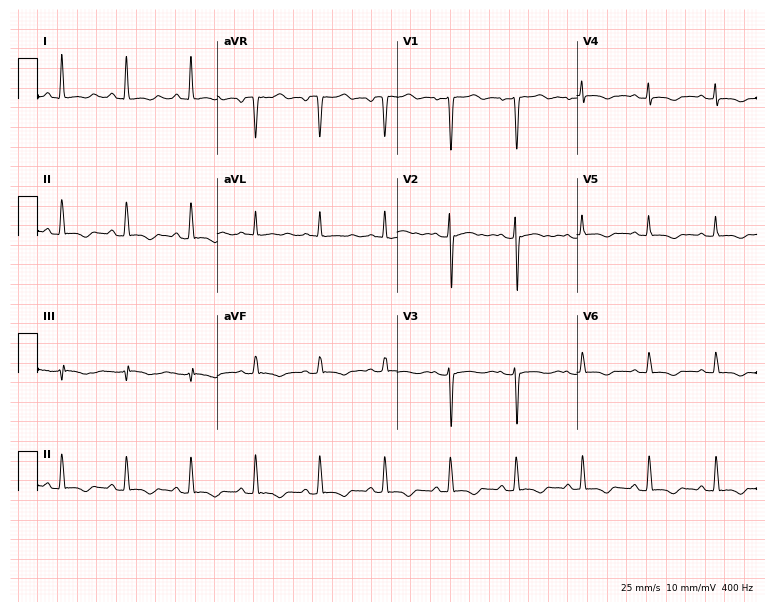
12-lead ECG from a woman, 37 years old. No first-degree AV block, right bundle branch block (RBBB), left bundle branch block (LBBB), sinus bradycardia, atrial fibrillation (AF) or sinus tachycardia recorded for this tracing.